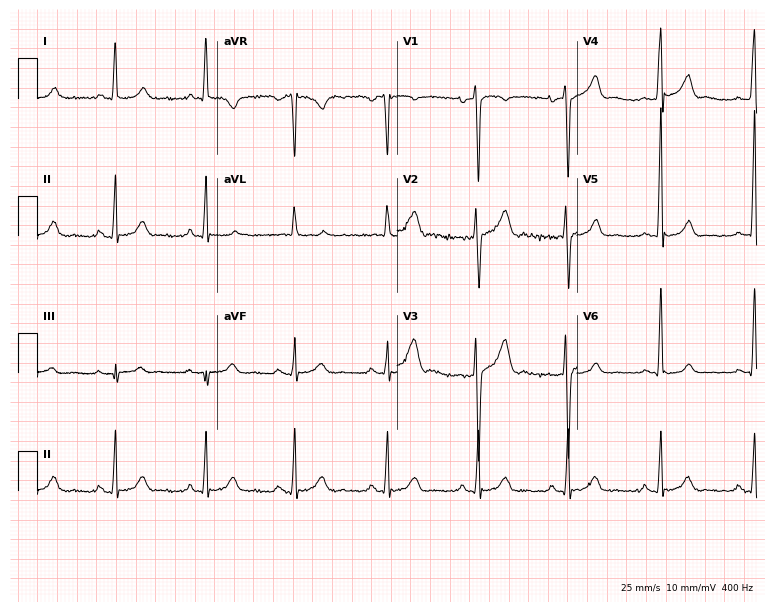
12-lead ECG from a male, 29 years old (7.3-second recording at 400 Hz). No first-degree AV block, right bundle branch block (RBBB), left bundle branch block (LBBB), sinus bradycardia, atrial fibrillation (AF) or sinus tachycardia recorded for this tracing. Other findings, if any, are not listed.